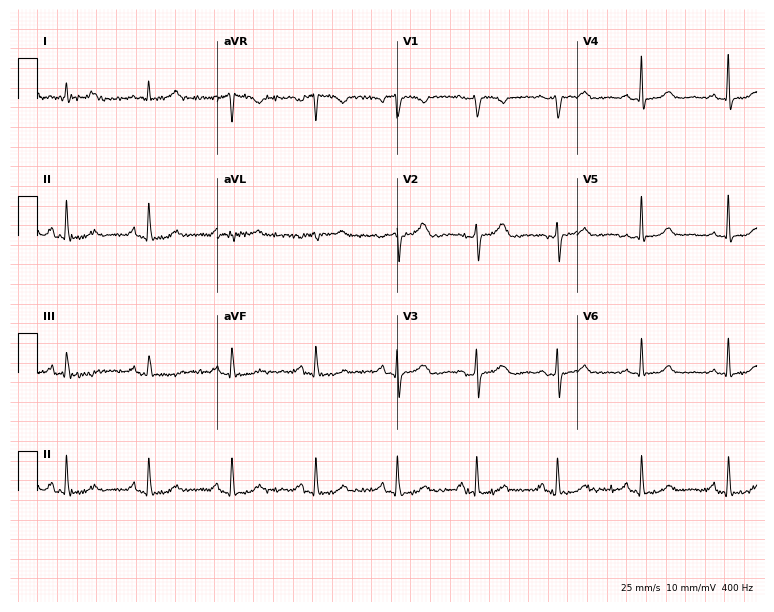
ECG (7.3-second recording at 400 Hz) — a woman, 63 years old. Screened for six findings — first-degree AV block, right bundle branch block, left bundle branch block, sinus bradycardia, atrial fibrillation, sinus tachycardia — none is recorded.